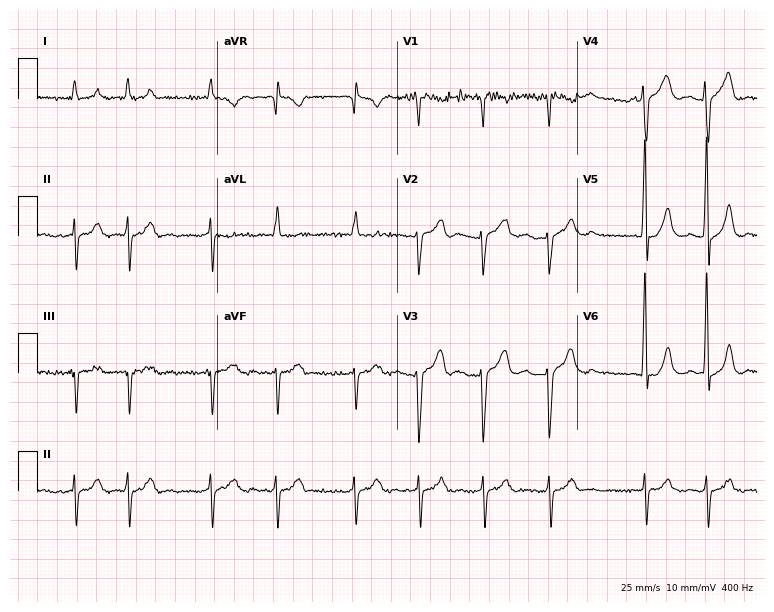
12-lead ECG (7.3-second recording at 400 Hz) from an 81-year-old man. Findings include atrial fibrillation.